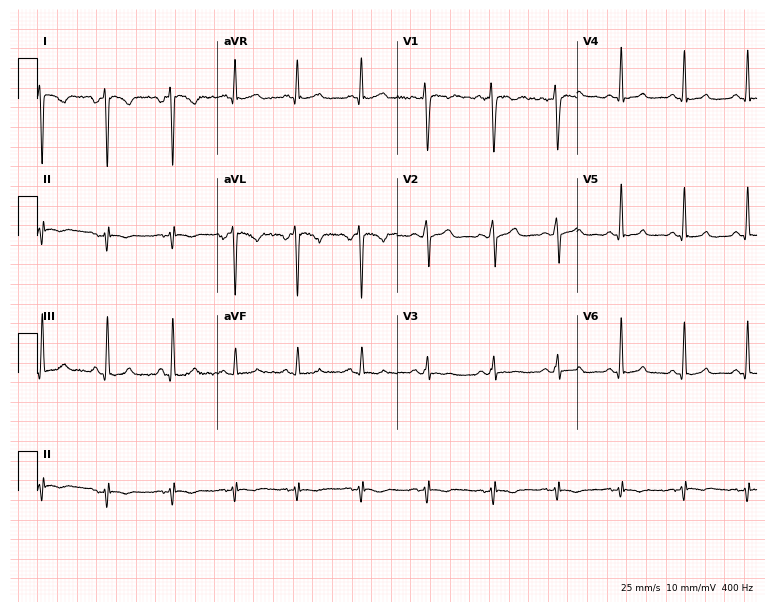
Electrocardiogram, a 36-year-old female patient. Of the six screened findings (first-degree AV block, right bundle branch block (RBBB), left bundle branch block (LBBB), sinus bradycardia, atrial fibrillation (AF), sinus tachycardia), none is recorded.